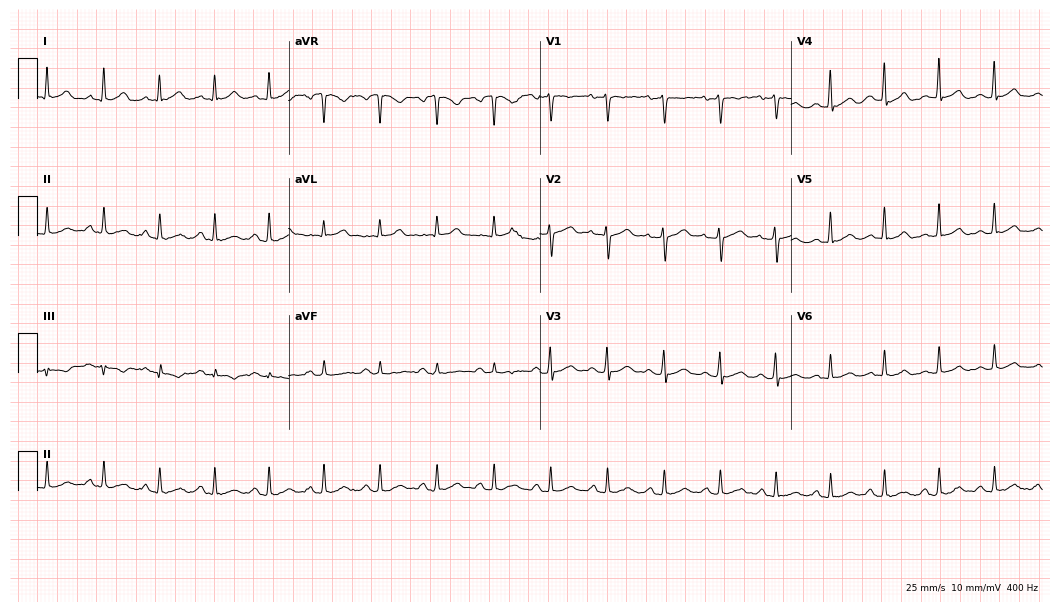
Standard 12-lead ECG recorded from a woman, 49 years old (10.2-second recording at 400 Hz). The tracing shows sinus tachycardia (a sinus rate of 100 beats per minute or more).